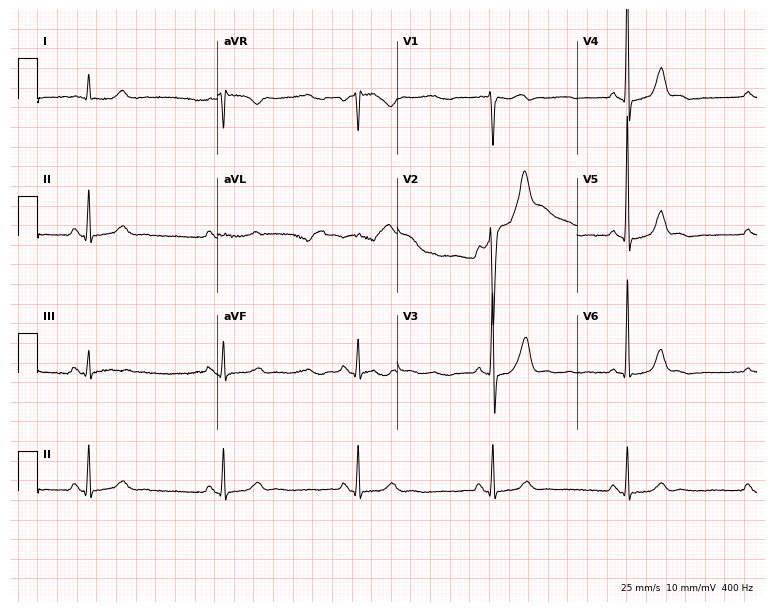
ECG (7.3-second recording at 400 Hz) — a 59-year-old male patient. Findings include sinus bradycardia (a sinus rate of 50 beats per minute or less).